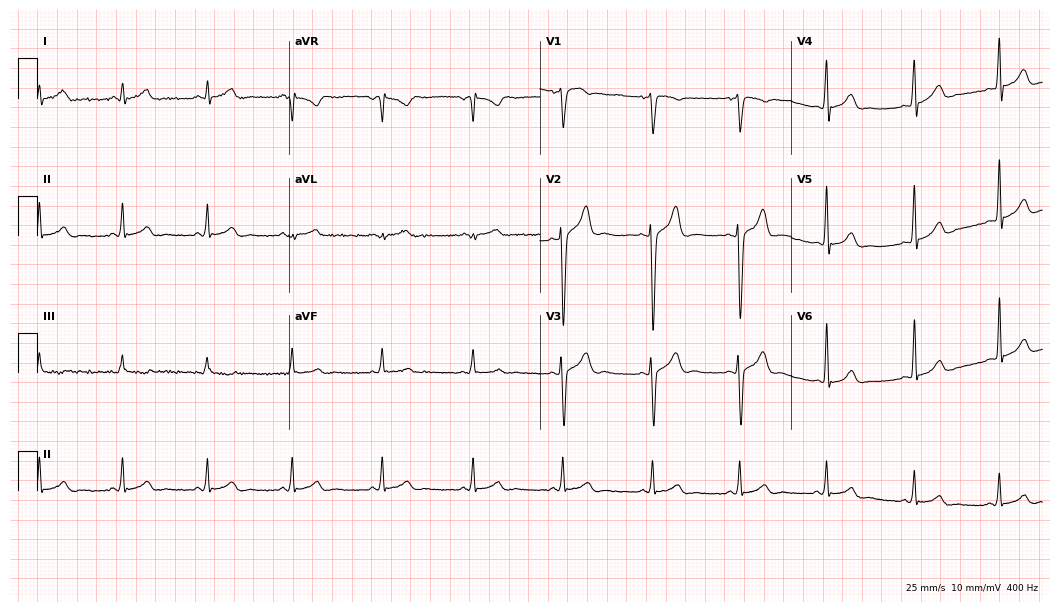
Standard 12-lead ECG recorded from a male patient, 27 years old. Read as a normal ECG.